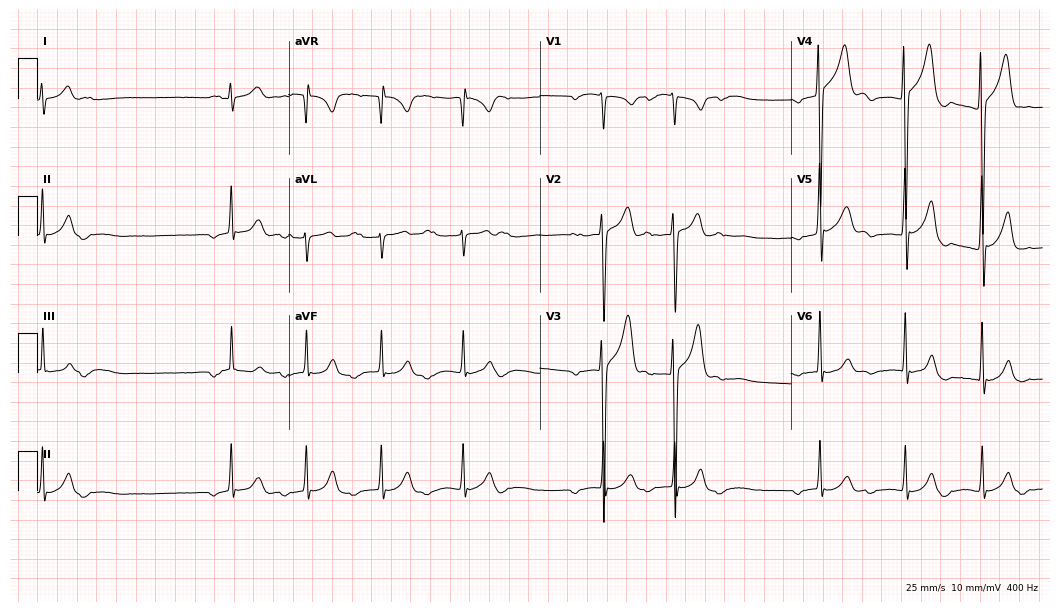
Standard 12-lead ECG recorded from a man, 17 years old. None of these six findings is recorded: first-degree AV block, right bundle branch block (RBBB), left bundle branch block (LBBB), sinus bradycardia, atrial fibrillation (AF), sinus tachycardia. Other findings, if any, are not listed.